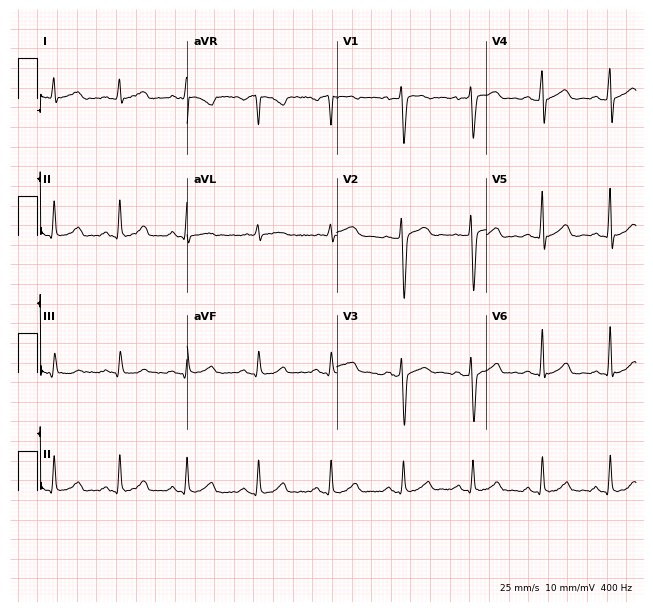
ECG — a female, 44 years old. Labelled as a normal ECG.